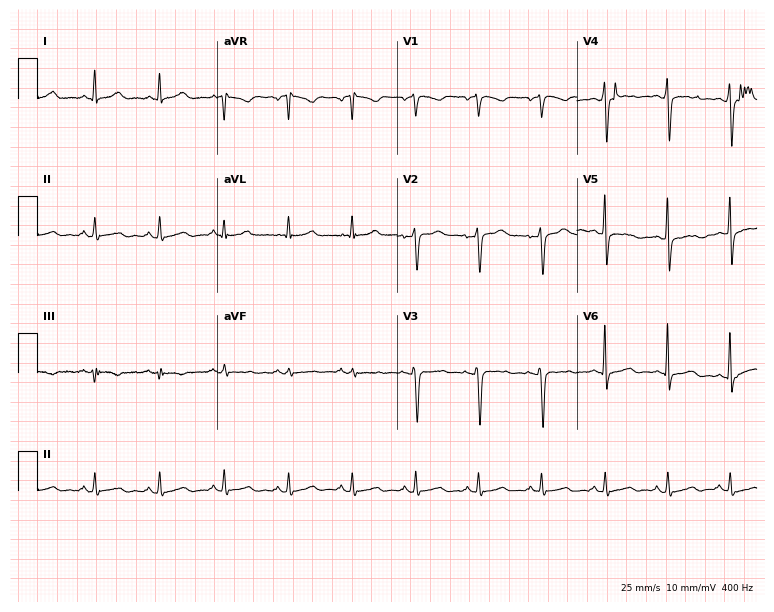
Electrocardiogram (7.3-second recording at 400 Hz), a 37-year-old female patient. Of the six screened findings (first-degree AV block, right bundle branch block, left bundle branch block, sinus bradycardia, atrial fibrillation, sinus tachycardia), none is recorded. Only these six findings were labelled.